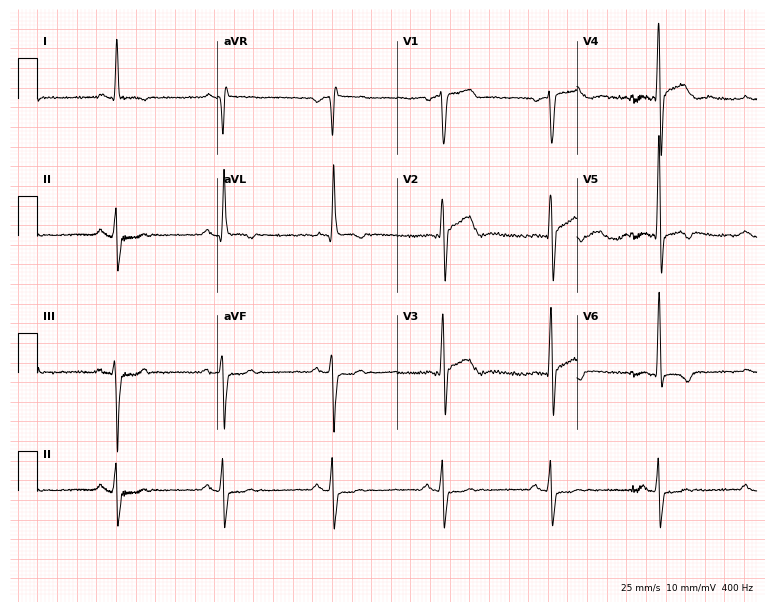
Electrocardiogram, a 73-year-old male. Of the six screened findings (first-degree AV block, right bundle branch block, left bundle branch block, sinus bradycardia, atrial fibrillation, sinus tachycardia), none is recorded. Only these six findings were labelled.